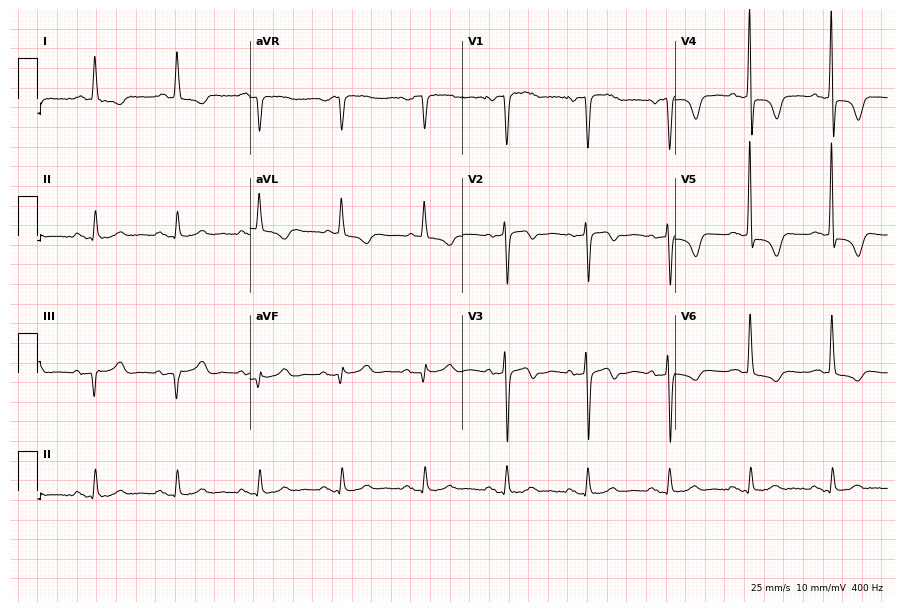
Electrocardiogram, a 73-year-old woman. Of the six screened findings (first-degree AV block, right bundle branch block, left bundle branch block, sinus bradycardia, atrial fibrillation, sinus tachycardia), none is recorded.